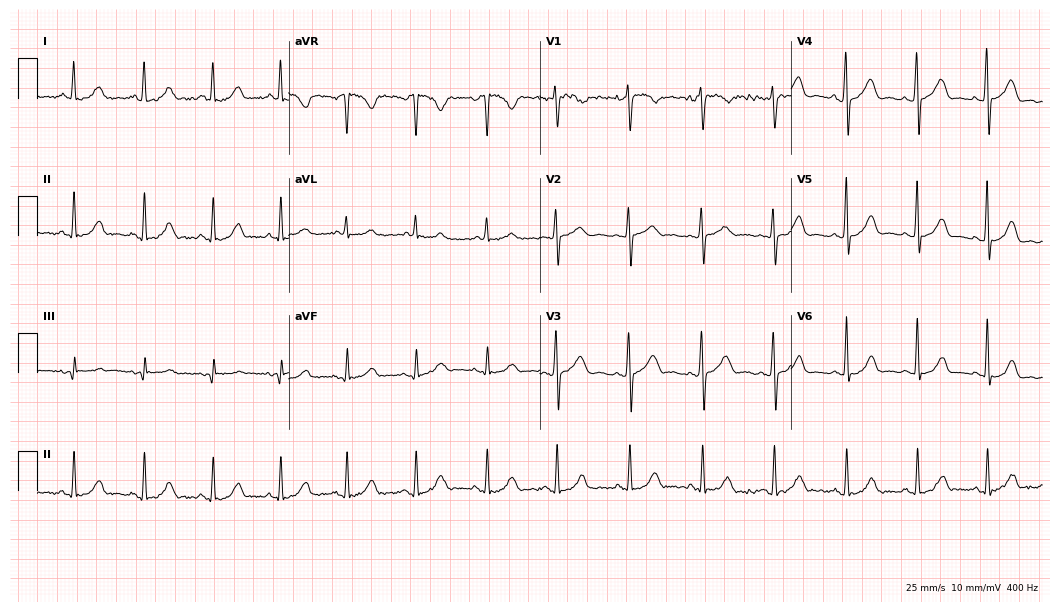
12-lead ECG from a female patient, 37 years old (10.2-second recording at 400 Hz). Recorded interpretation: within normal limits.